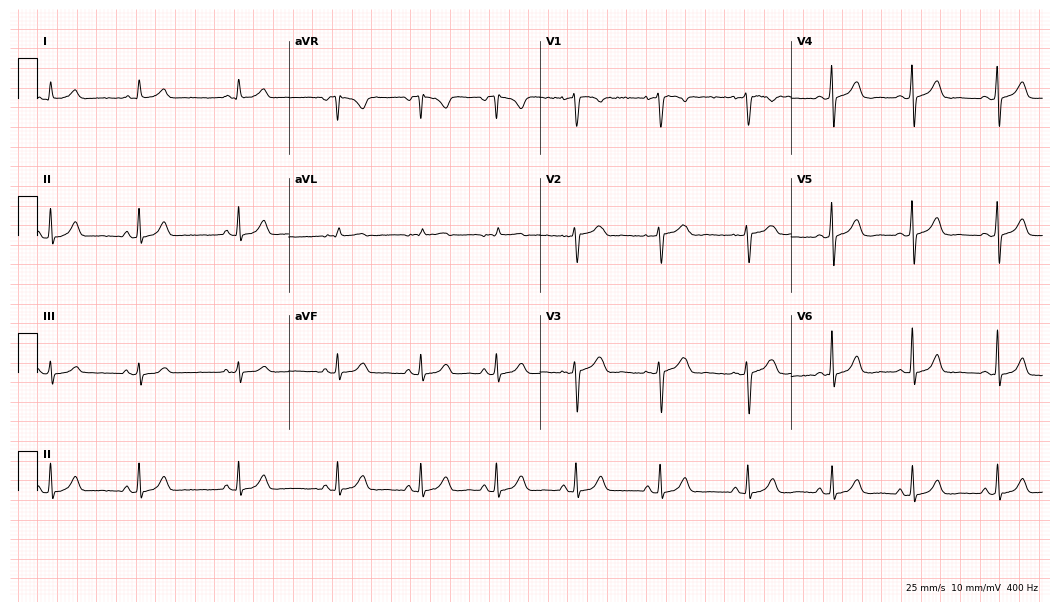
12-lead ECG (10.2-second recording at 400 Hz) from a female patient, 29 years old. Screened for six findings — first-degree AV block, right bundle branch block, left bundle branch block, sinus bradycardia, atrial fibrillation, sinus tachycardia — none is recorded. Findings outside these six are not listed.